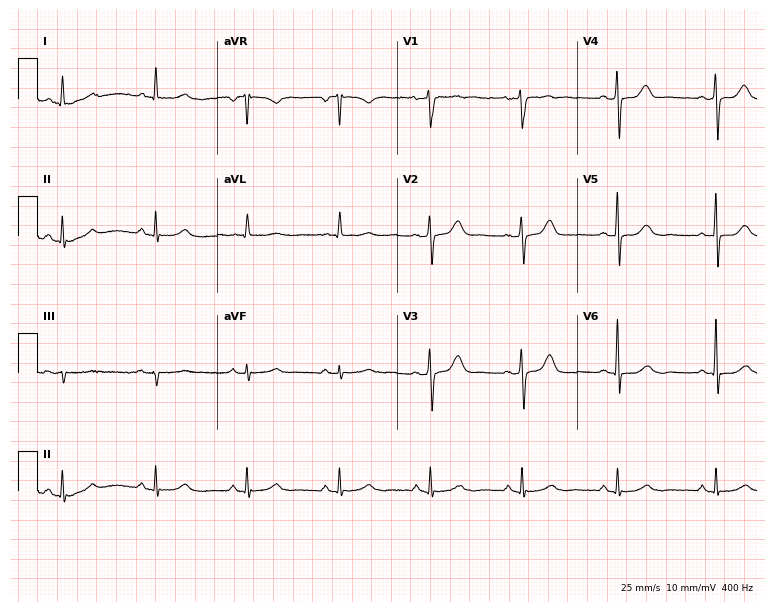
ECG (7.3-second recording at 400 Hz) — a 71-year-old man. Screened for six findings — first-degree AV block, right bundle branch block, left bundle branch block, sinus bradycardia, atrial fibrillation, sinus tachycardia — none is recorded. Only these six findings were labelled.